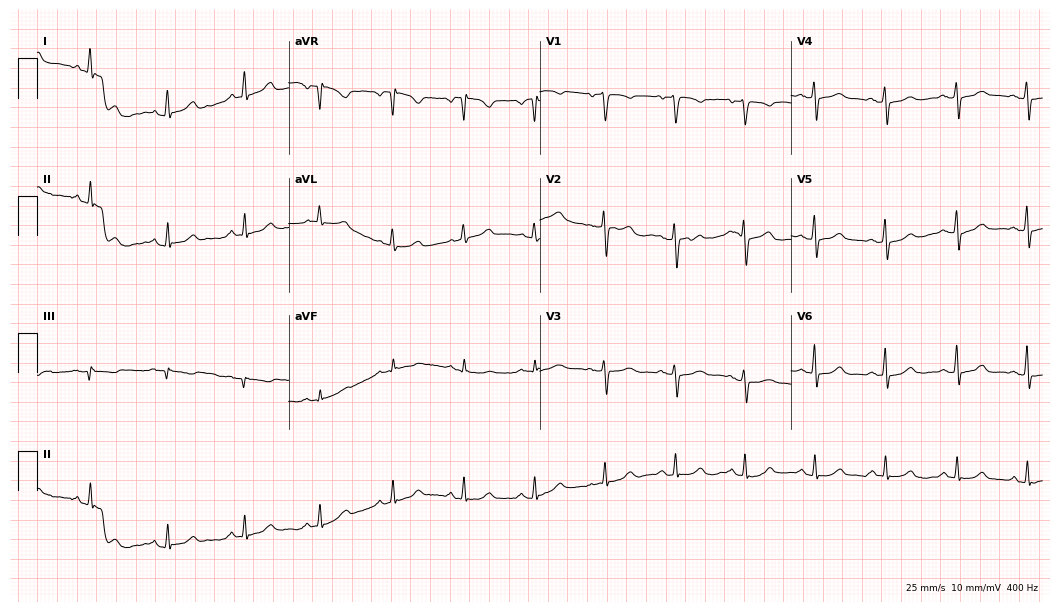
ECG — a female patient, 58 years old. Labelled as a normal ECG.